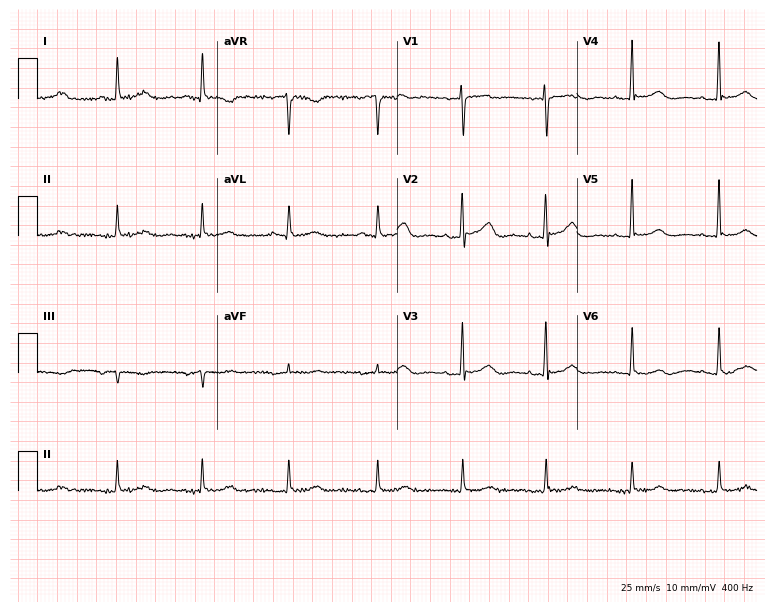
Standard 12-lead ECG recorded from a female, 83 years old. Read as a normal ECG.